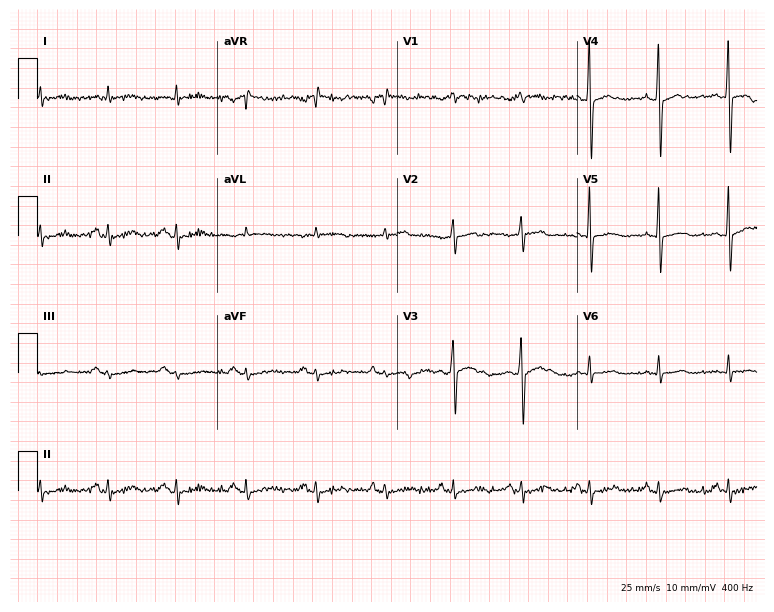
Electrocardiogram (7.3-second recording at 400 Hz), a man, 66 years old. Of the six screened findings (first-degree AV block, right bundle branch block, left bundle branch block, sinus bradycardia, atrial fibrillation, sinus tachycardia), none is recorded. Other findings, if any, are not listed.